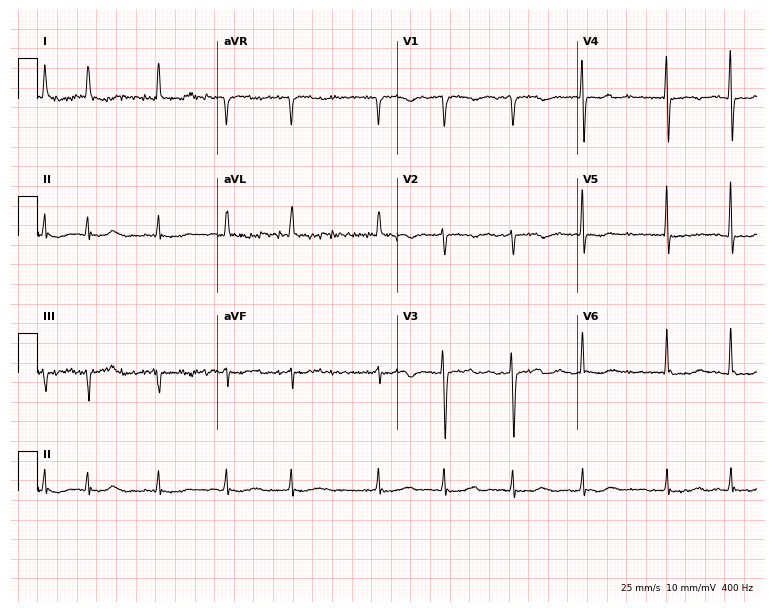
Electrocardiogram, a 73-year-old woman. Interpretation includes atrial fibrillation (AF).